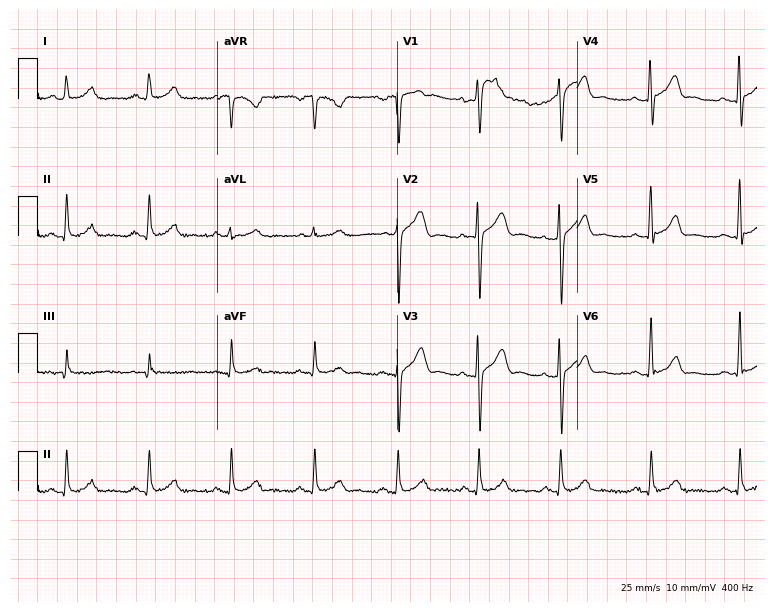
ECG — a man, 36 years old. Labelled as a normal ECG.